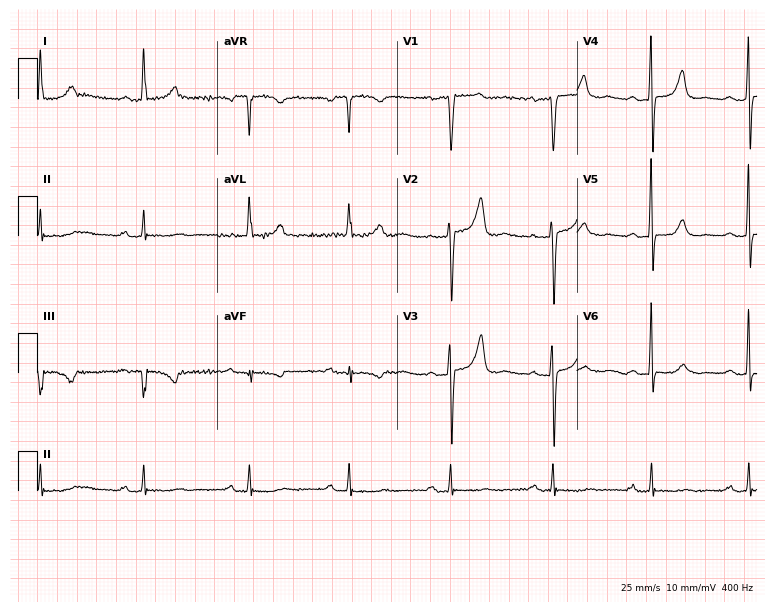
12-lead ECG from a female patient, 72 years old (7.3-second recording at 400 Hz). No first-degree AV block, right bundle branch block (RBBB), left bundle branch block (LBBB), sinus bradycardia, atrial fibrillation (AF) or sinus tachycardia recorded for this tracing. Other findings, if any, are not listed.